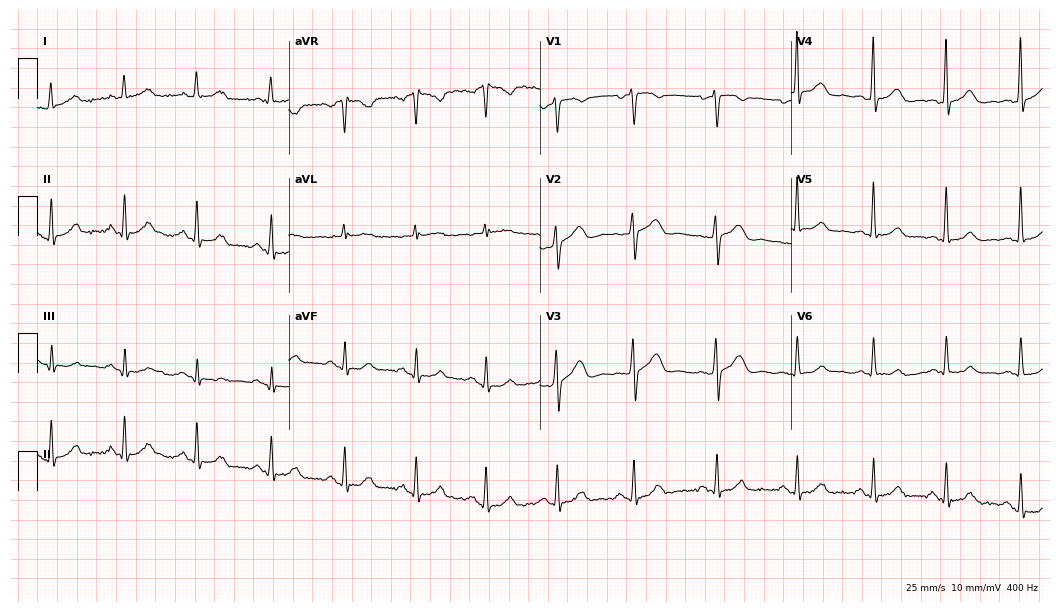
12-lead ECG from a 44-year-old female patient. Recorded interpretation: within normal limits.